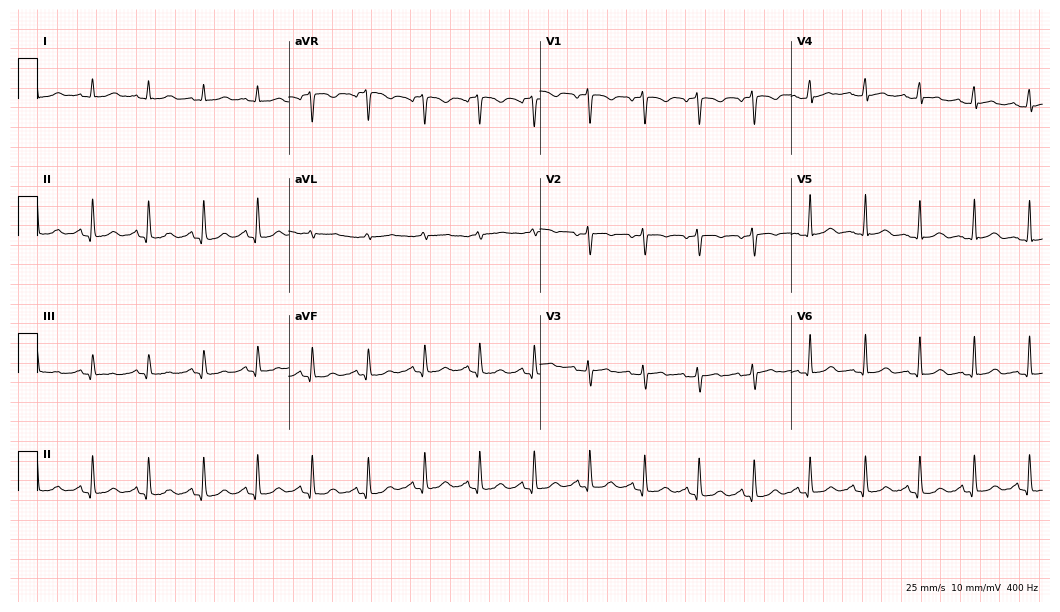
Resting 12-lead electrocardiogram. Patient: a 40-year-old female. The tracing shows sinus tachycardia (a sinus rate of 100 beats per minute or more).